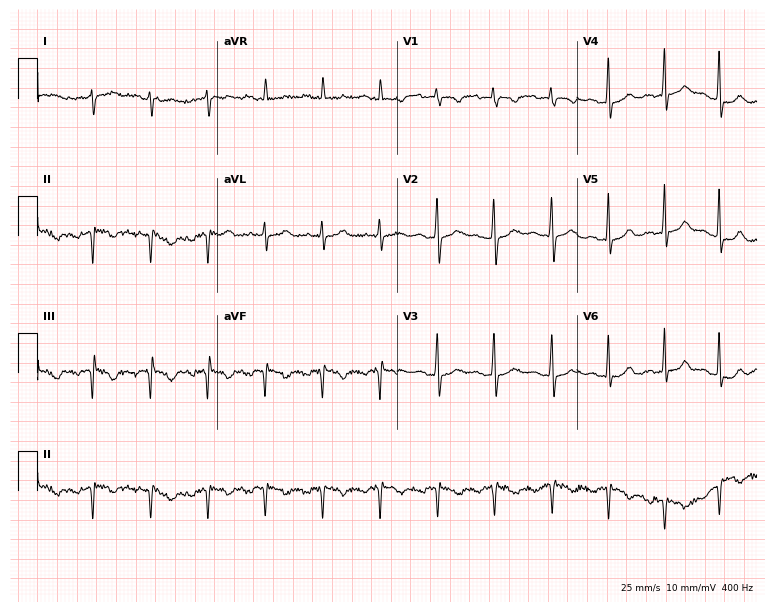
12-lead ECG (7.3-second recording at 400 Hz) from a woman, 32 years old. Screened for six findings — first-degree AV block, right bundle branch block, left bundle branch block, sinus bradycardia, atrial fibrillation, sinus tachycardia — none is recorded.